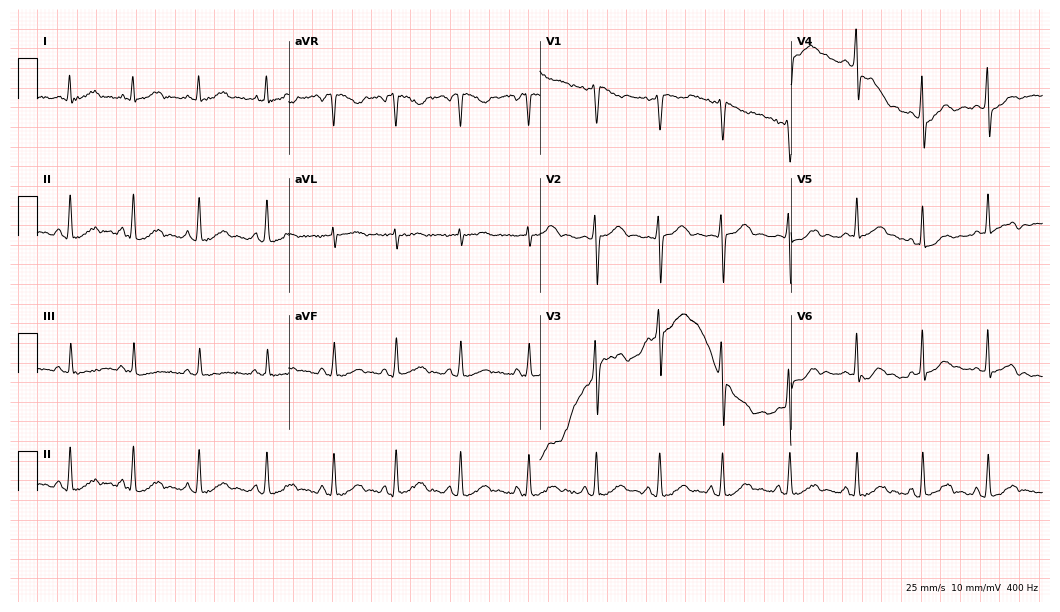
Resting 12-lead electrocardiogram. Patient: a 20-year-old female. None of these six findings is recorded: first-degree AV block, right bundle branch block, left bundle branch block, sinus bradycardia, atrial fibrillation, sinus tachycardia. Findings outside these six are not listed.